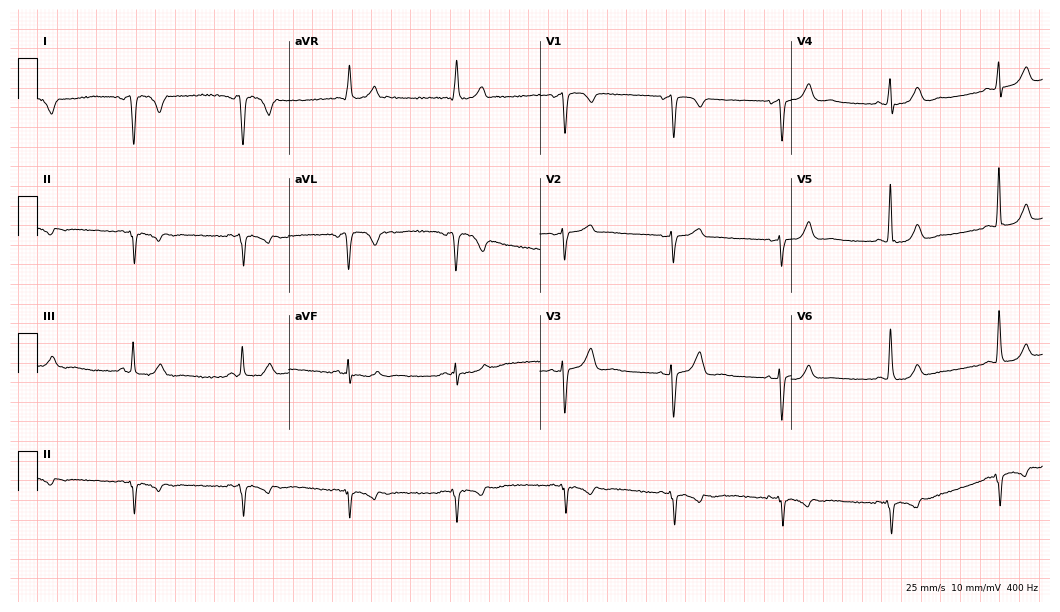
Electrocardiogram, a female patient, 59 years old. Overall reading on record: normal ECG.